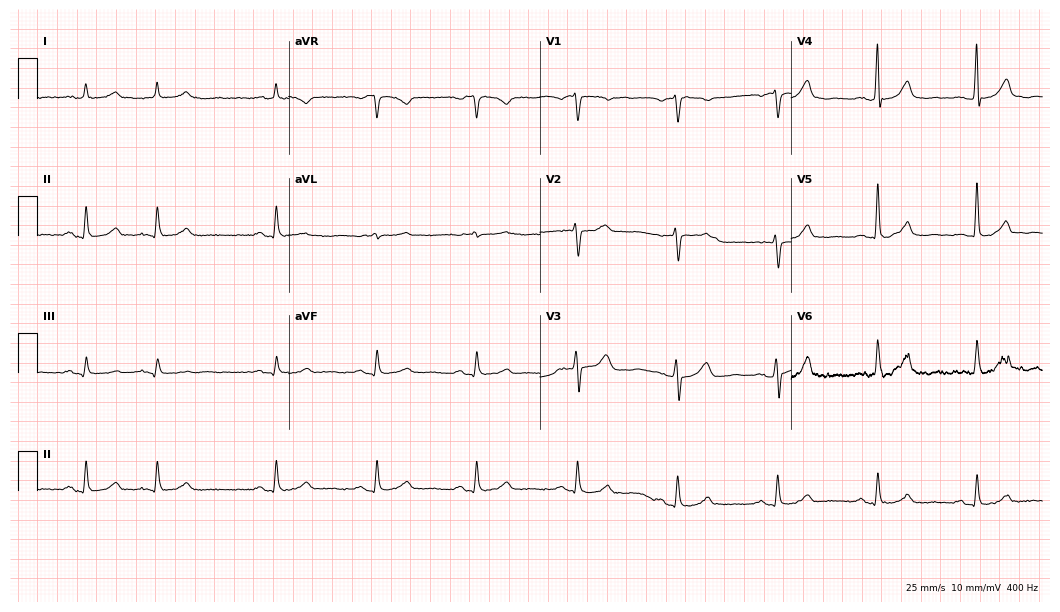
ECG (10.2-second recording at 400 Hz) — a male patient, 77 years old. Labelled as a normal ECG.